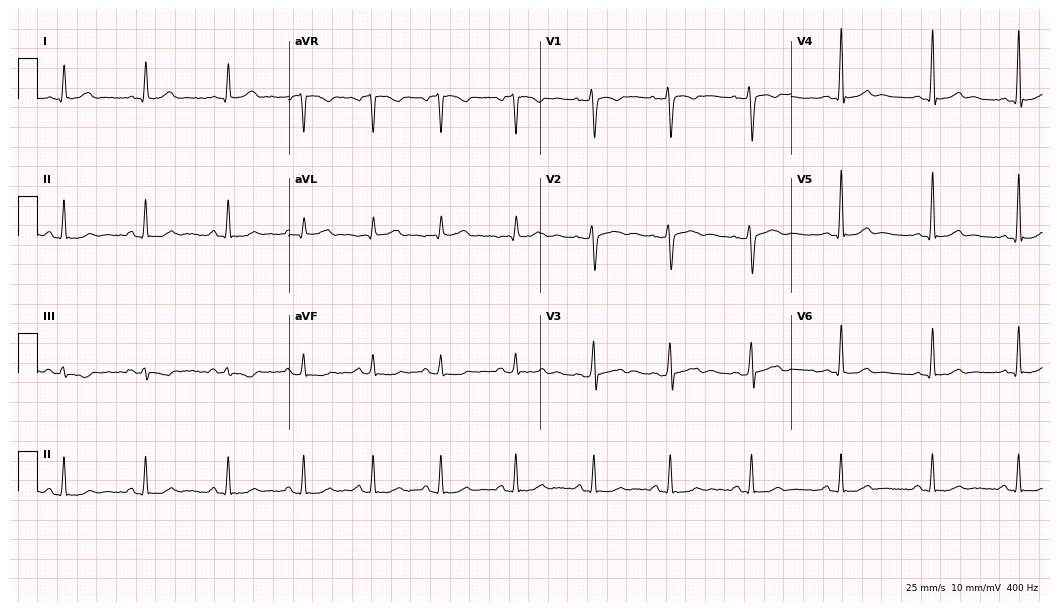
Electrocardiogram (10.2-second recording at 400 Hz), a 32-year-old female. Overall reading on record: normal ECG.